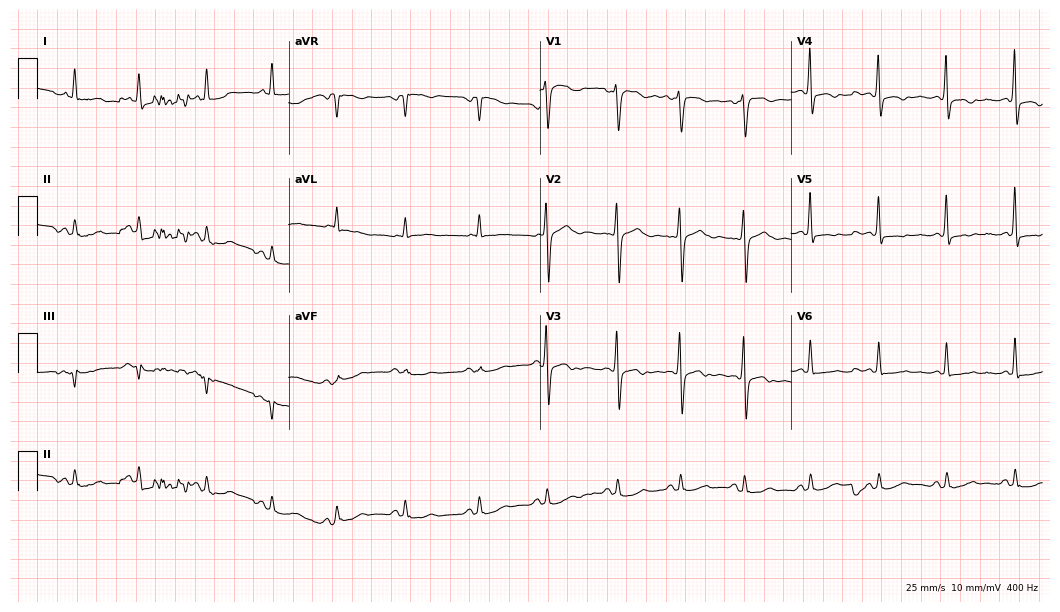
Standard 12-lead ECG recorded from a woman, 53 years old. None of these six findings is recorded: first-degree AV block, right bundle branch block, left bundle branch block, sinus bradycardia, atrial fibrillation, sinus tachycardia.